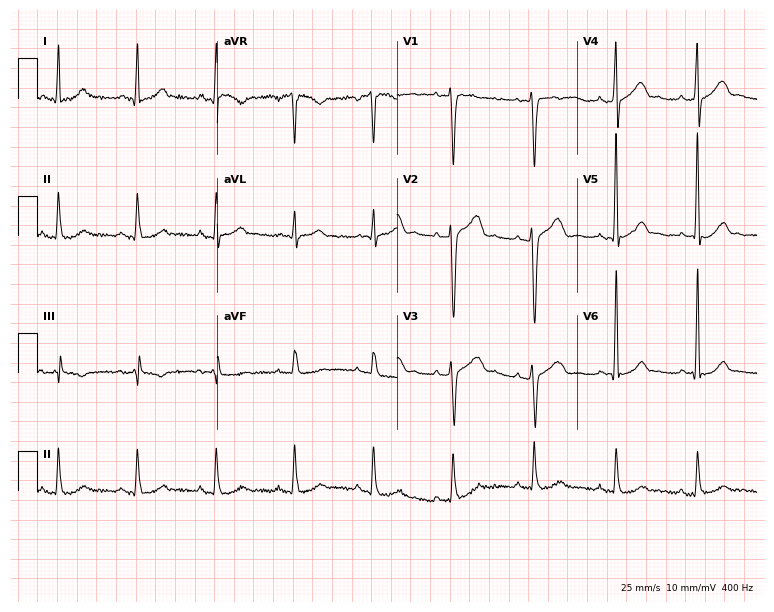
ECG — a male patient, 43 years old. Screened for six findings — first-degree AV block, right bundle branch block, left bundle branch block, sinus bradycardia, atrial fibrillation, sinus tachycardia — none is recorded.